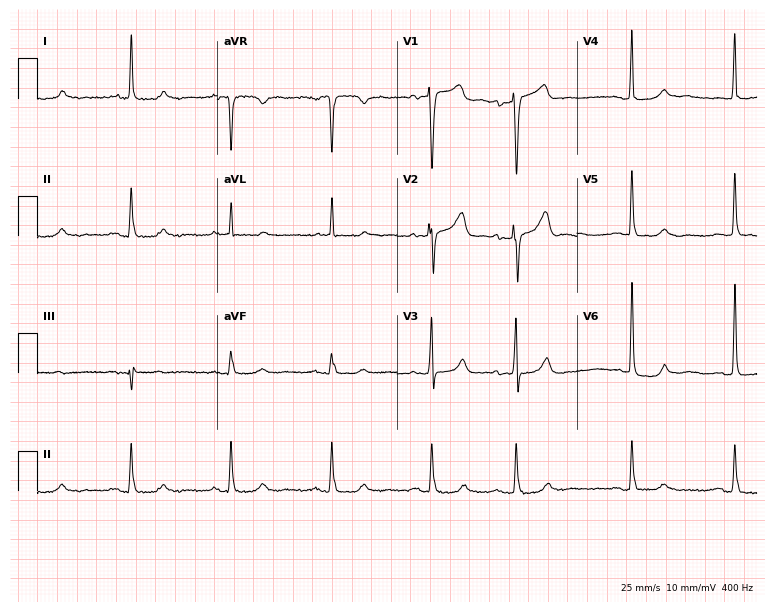
12-lead ECG from an 82-year-old man. Labelled as a normal ECG.